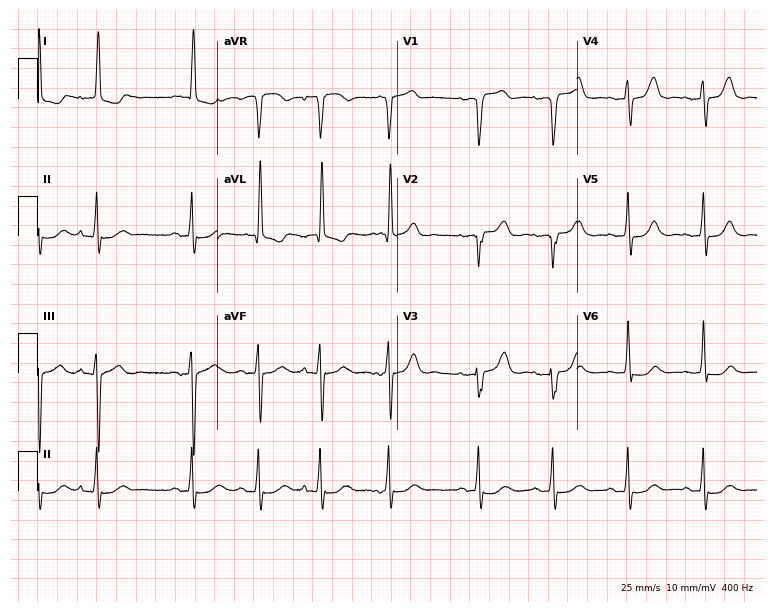
ECG — a female patient, 84 years old. Screened for six findings — first-degree AV block, right bundle branch block, left bundle branch block, sinus bradycardia, atrial fibrillation, sinus tachycardia — none is recorded. Only these six findings were labelled.